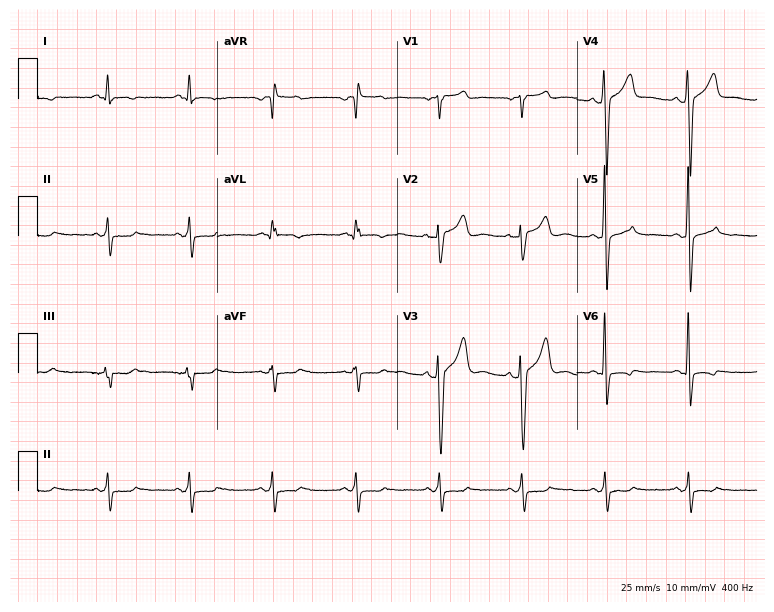
Electrocardiogram (7.3-second recording at 400 Hz), a male patient, 65 years old. Of the six screened findings (first-degree AV block, right bundle branch block (RBBB), left bundle branch block (LBBB), sinus bradycardia, atrial fibrillation (AF), sinus tachycardia), none is recorded. Other findings, if any, are not listed.